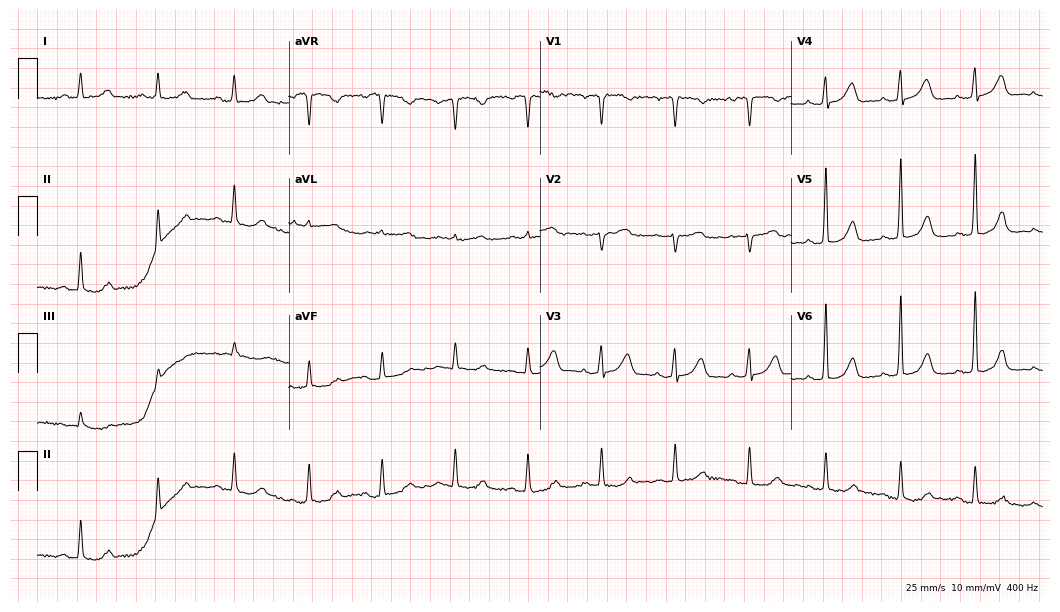
12-lead ECG from a woman, 65 years old (10.2-second recording at 400 Hz). Recorded interpretation: within normal limits.